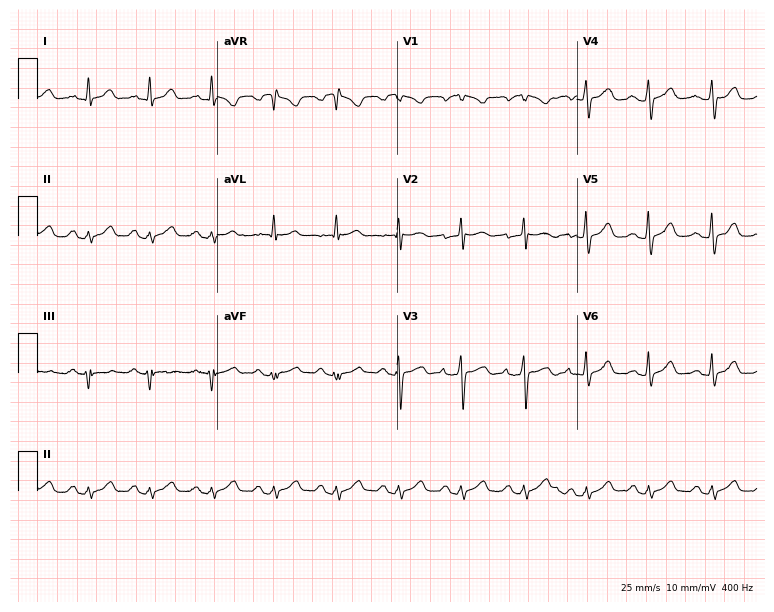
Electrocardiogram (7.3-second recording at 400 Hz), a 52-year-old female. Overall reading on record: normal ECG.